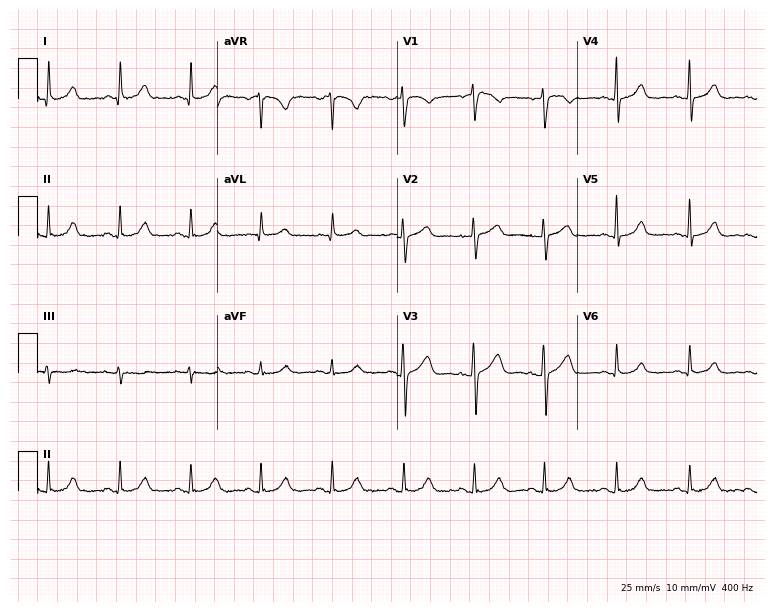
Resting 12-lead electrocardiogram (7.3-second recording at 400 Hz). Patient: a 51-year-old female. Read as a normal ECG.